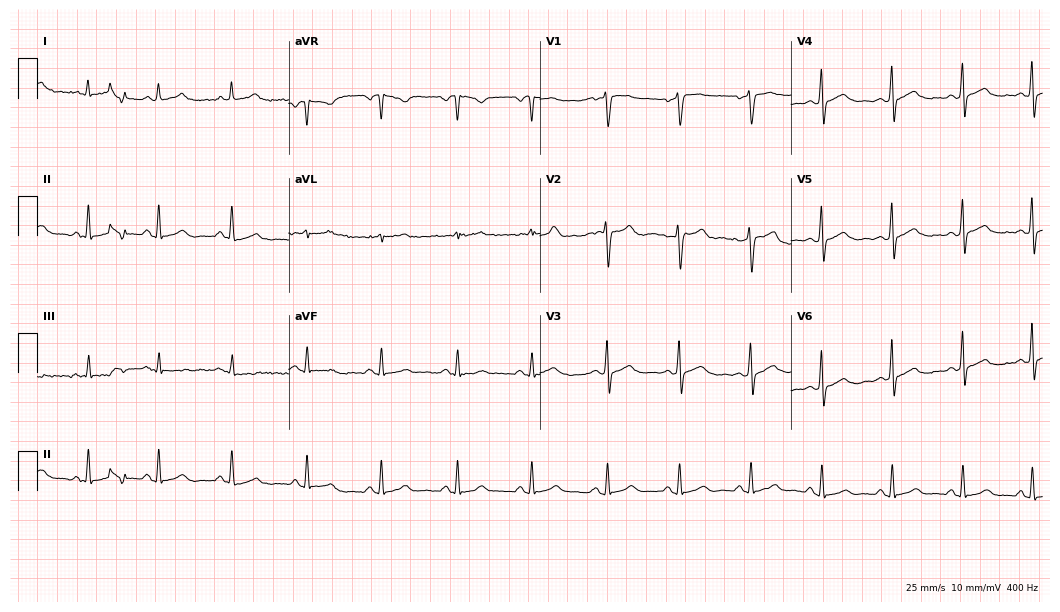
Standard 12-lead ECG recorded from a 34-year-old female. Read as a normal ECG.